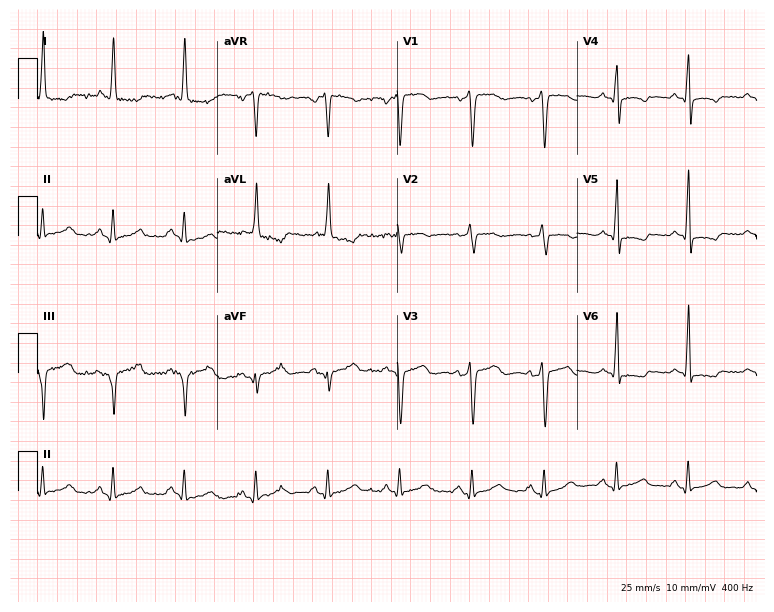
Electrocardiogram (7.3-second recording at 400 Hz), a 66-year-old female patient. Of the six screened findings (first-degree AV block, right bundle branch block, left bundle branch block, sinus bradycardia, atrial fibrillation, sinus tachycardia), none is recorded. Other findings, if any, are not listed.